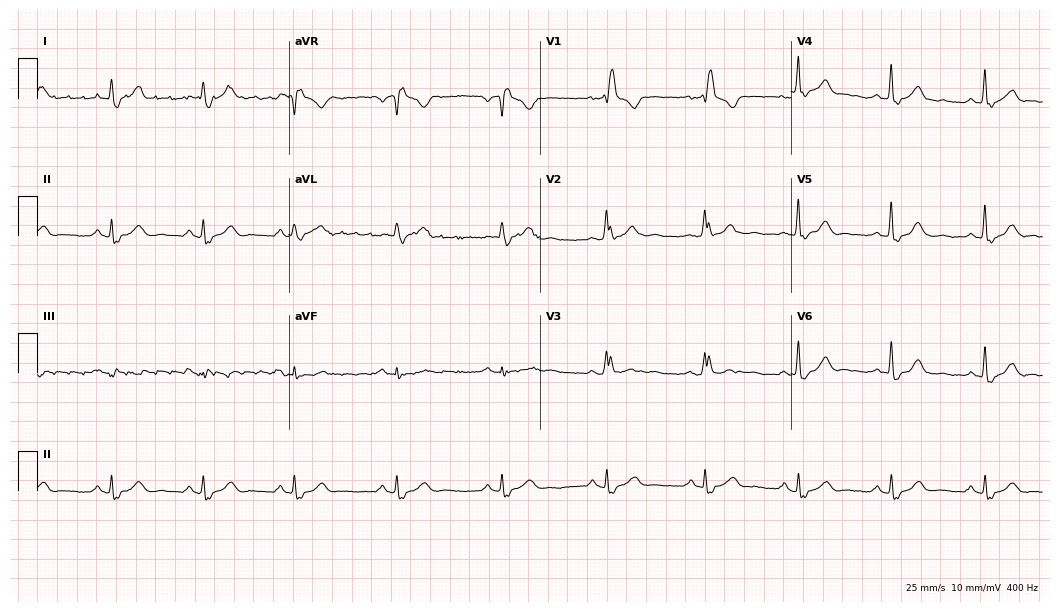
Standard 12-lead ECG recorded from a 65-year-old man. The tracing shows right bundle branch block.